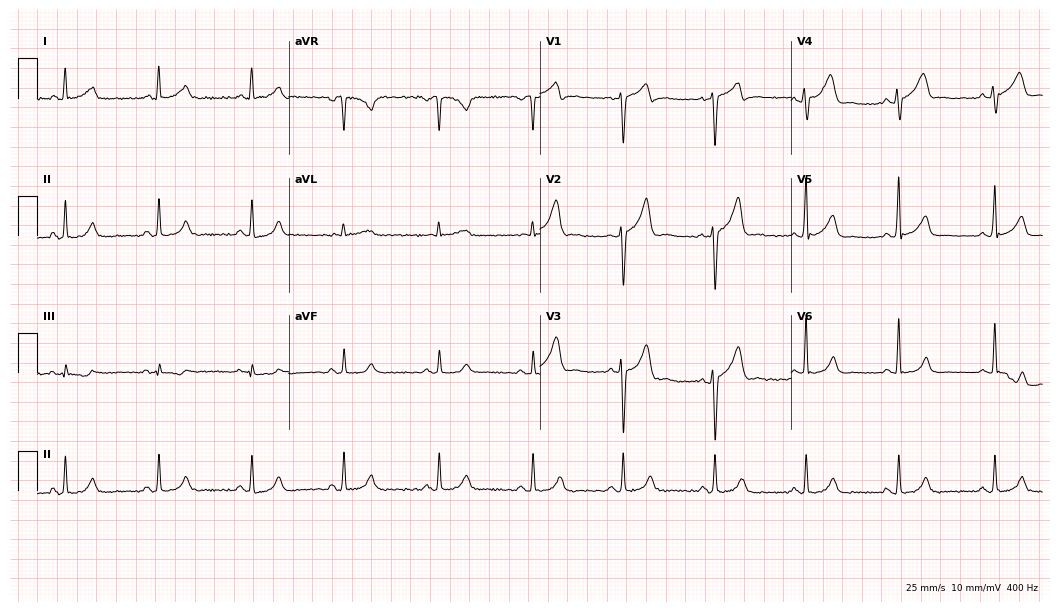
Resting 12-lead electrocardiogram (10.2-second recording at 400 Hz). Patient: a 42-year-old man. Read as a normal ECG.